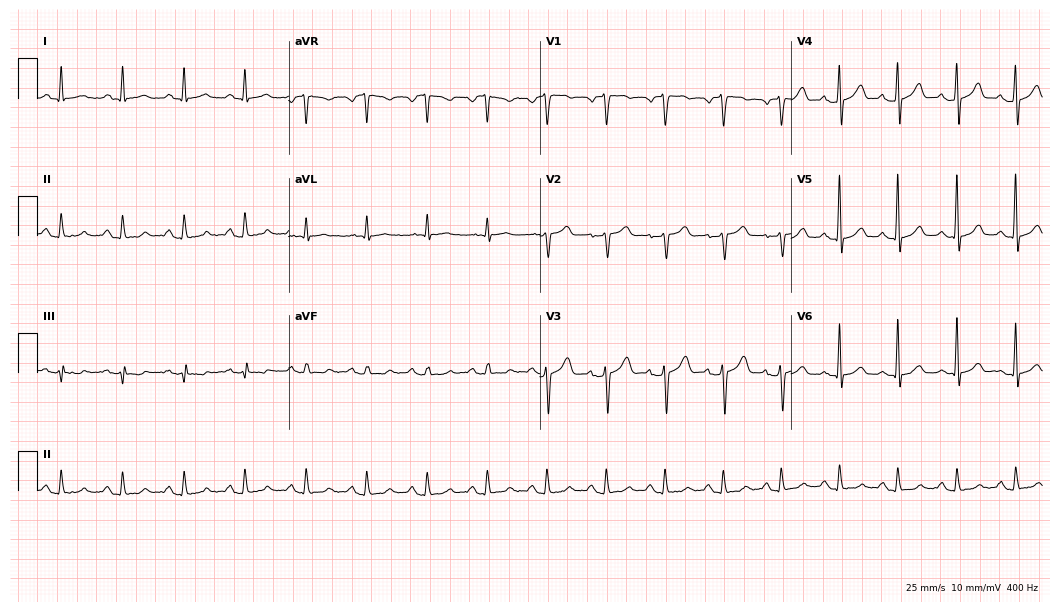
ECG — a man, 55 years old. Screened for six findings — first-degree AV block, right bundle branch block (RBBB), left bundle branch block (LBBB), sinus bradycardia, atrial fibrillation (AF), sinus tachycardia — none is recorded. Only these six findings were labelled.